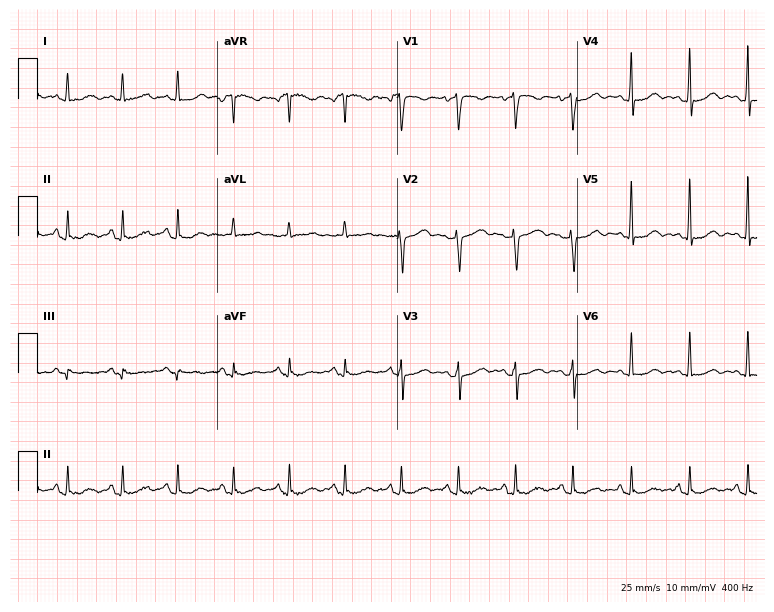
12-lead ECG from a female, 78 years old. Findings include sinus tachycardia (a sinus rate of 100 beats per minute or more).